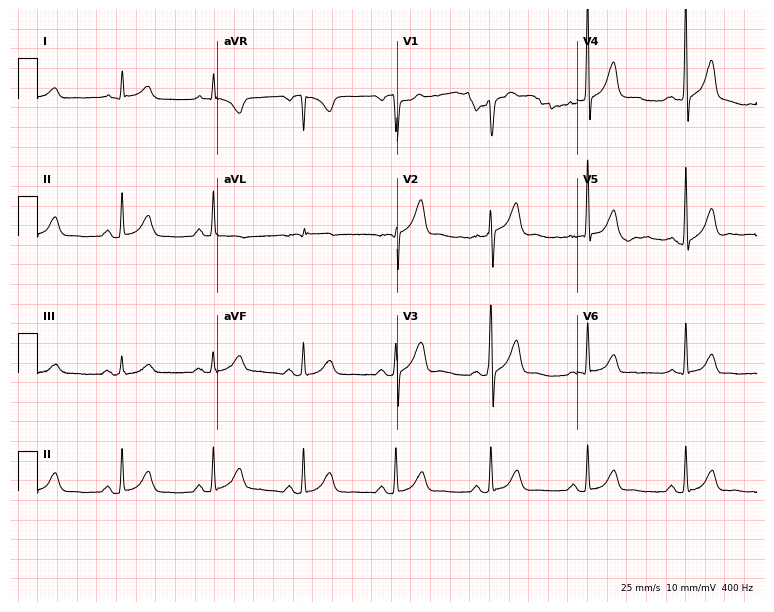
12-lead ECG from a male, 49 years old. Recorded interpretation: within normal limits.